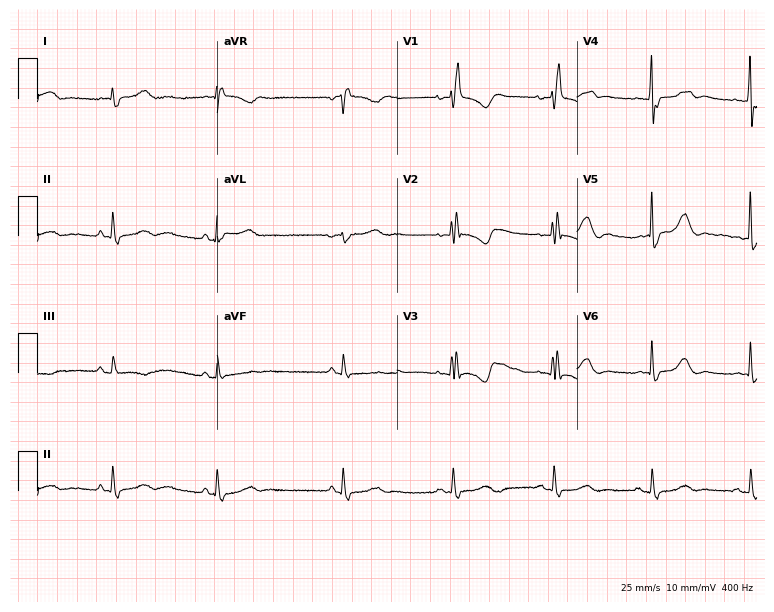
Standard 12-lead ECG recorded from a woman, 59 years old (7.3-second recording at 400 Hz). The tracing shows right bundle branch block.